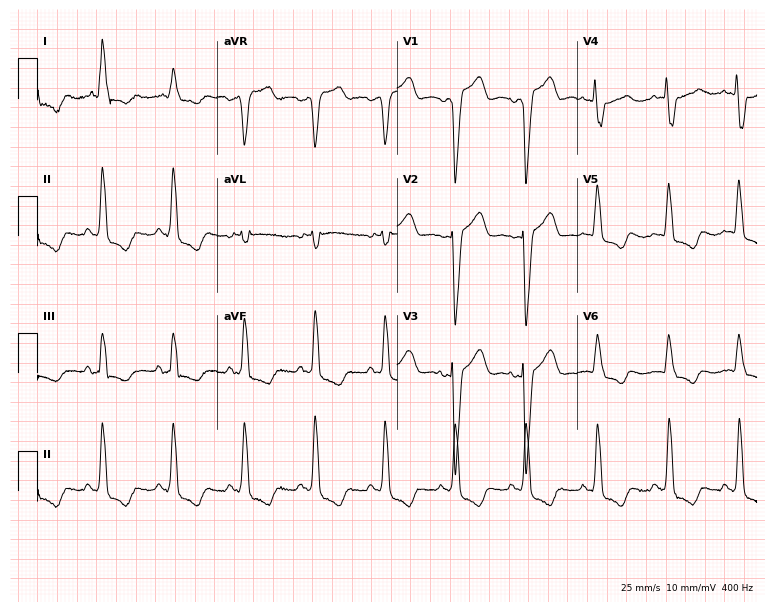
Standard 12-lead ECG recorded from a woman, 26 years old (7.3-second recording at 400 Hz). The tracing shows left bundle branch block (LBBB).